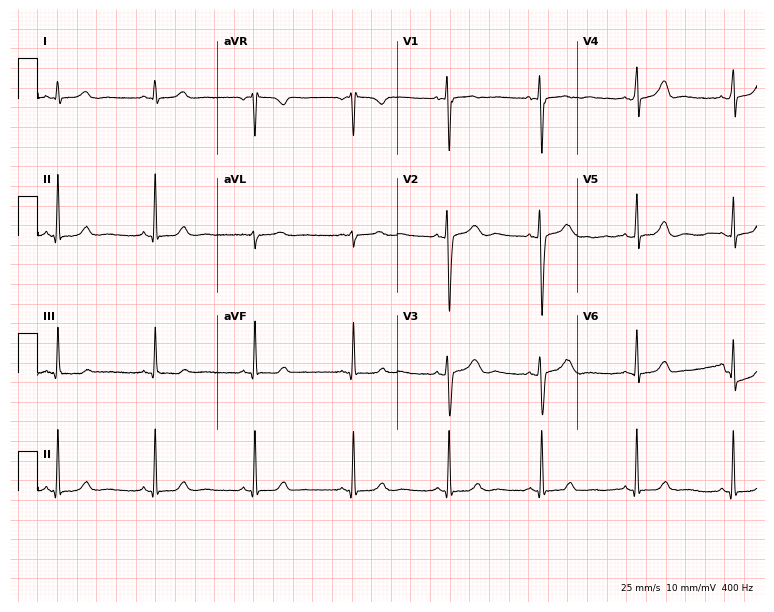
12-lead ECG from a 21-year-old female. Labelled as a normal ECG.